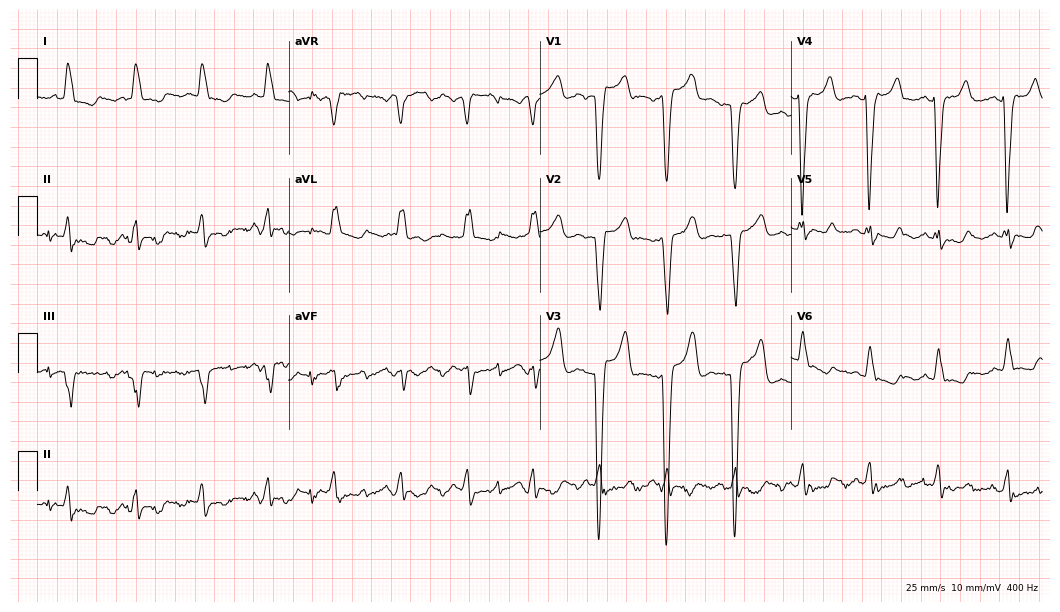
ECG (10.2-second recording at 400 Hz) — a female patient, 74 years old. Findings include left bundle branch block (LBBB).